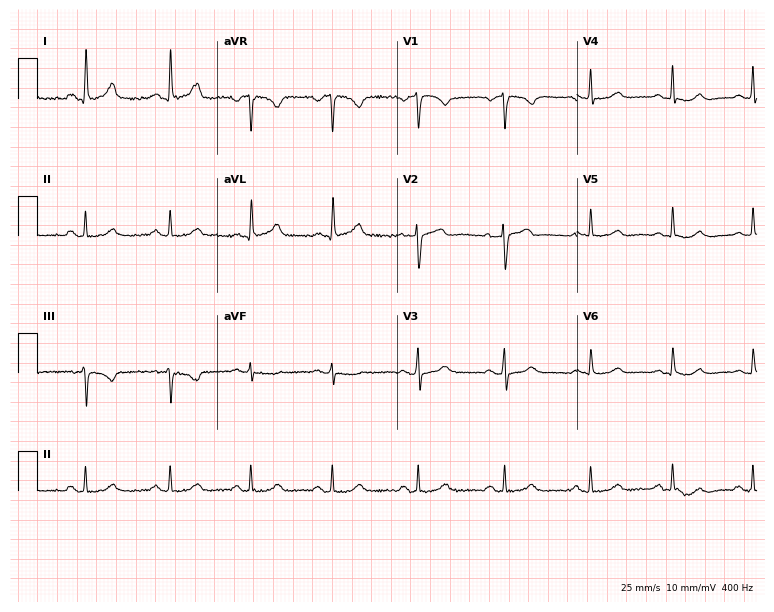
12-lead ECG (7.3-second recording at 400 Hz) from a 45-year-old female. Labelled as a normal ECG.